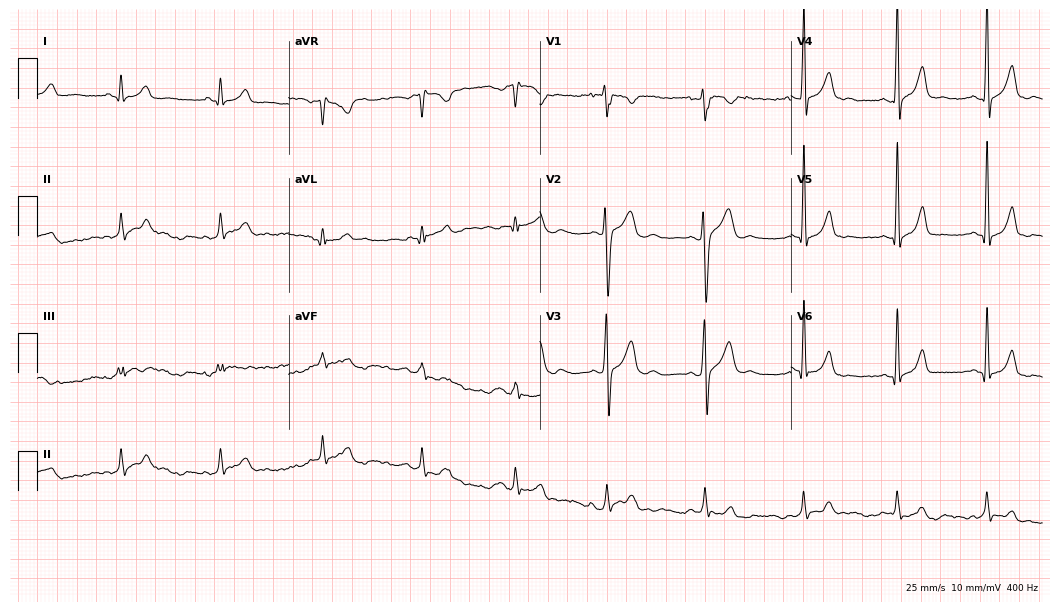
ECG — a 23-year-old male. Screened for six findings — first-degree AV block, right bundle branch block, left bundle branch block, sinus bradycardia, atrial fibrillation, sinus tachycardia — none is recorded. Other findings, if any, are not listed.